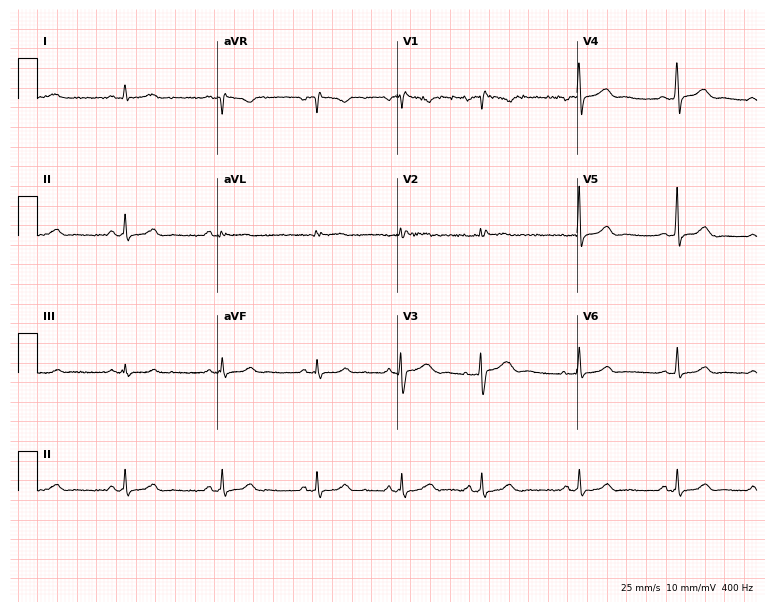
ECG (7.3-second recording at 400 Hz) — a female, 32 years old. Screened for six findings — first-degree AV block, right bundle branch block (RBBB), left bundle branch block (LBBB), sinus bradycardia, atrial fibrillation (AF), sinus tachycardia — none is recorded.